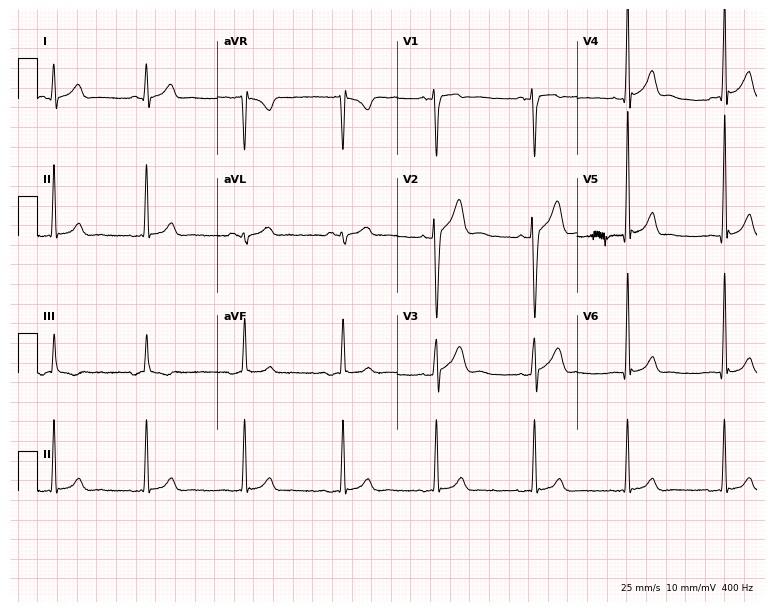
Electrocardiogram (7.3-second recording at 400 Hz), a 22-year-old man. Overall reading on record: normal ECG.